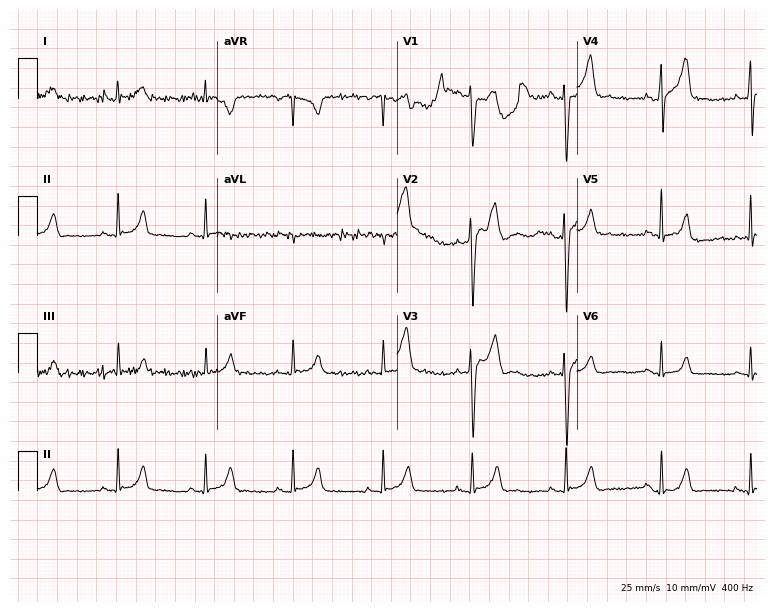
12-lead ECG from a 36-year-old man. Screened for six findings — first-degree AV block, right bundle branch block (RBBB), left bundle branch block (LBBB), sinus bradycardia, atrial fibrillation (AF), sinus tachycardia — none is recorded. Only these six findings were labelled.